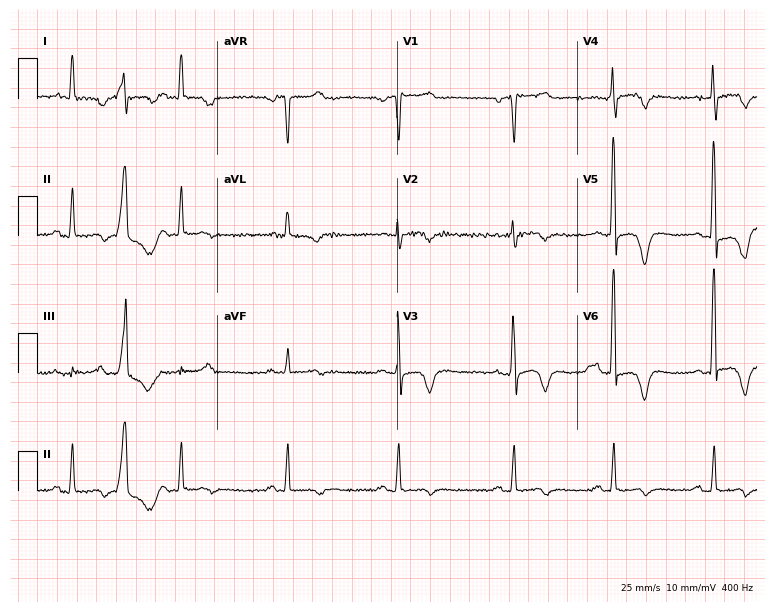
ECG — a man, 57 years old. Screened for six findings — first-degree AV block, right bundle branch block, left bundle branch block, sinus bradycardia, atrial fibrillation, sinus tachycardia — none is recorded.